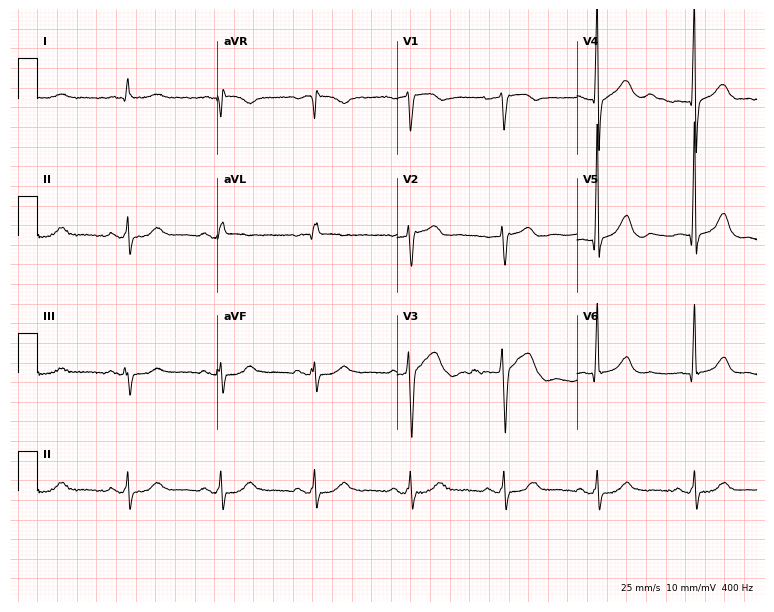
12-lead ECG from a man, 63 years old. Screened for six findings — first-degree AV block, right bundle branch block (RBBB), left bundle branch block (LBBB), sinus bradycardia, atrial fibrillation (AF), sinus tachycardia — none is recorded.